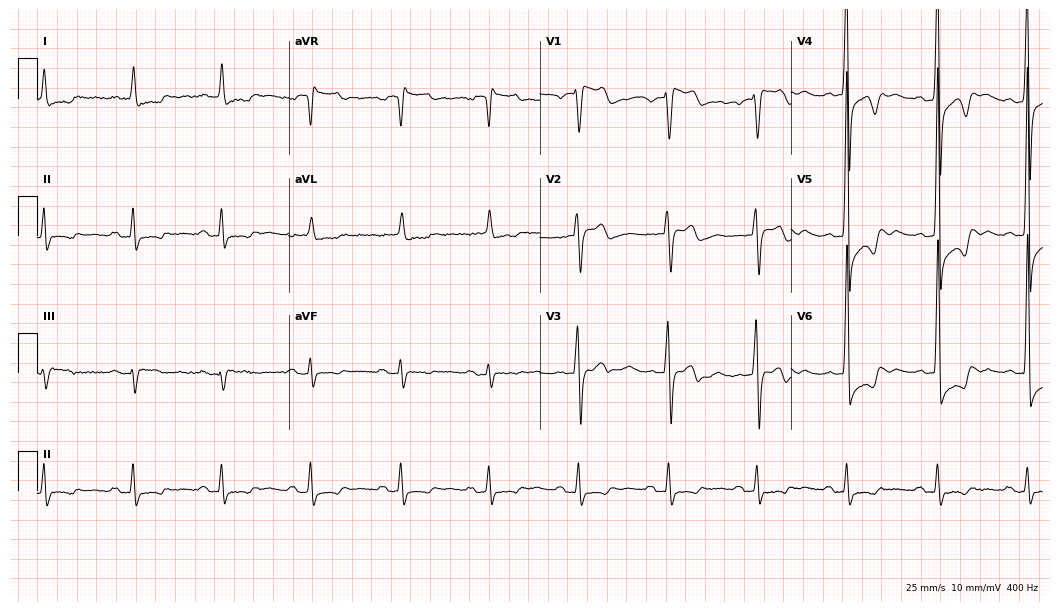
Electrocardiogram (10.2-second recording at 400 Hz), a 73-year-old male. Of the six screened findings (first-degree AV block, right bundle branch block, left bundle branch block, sinus bradycardia, atrial fibrillation, sinus tachycardia), none is recorded. Only these six findings were labelled.